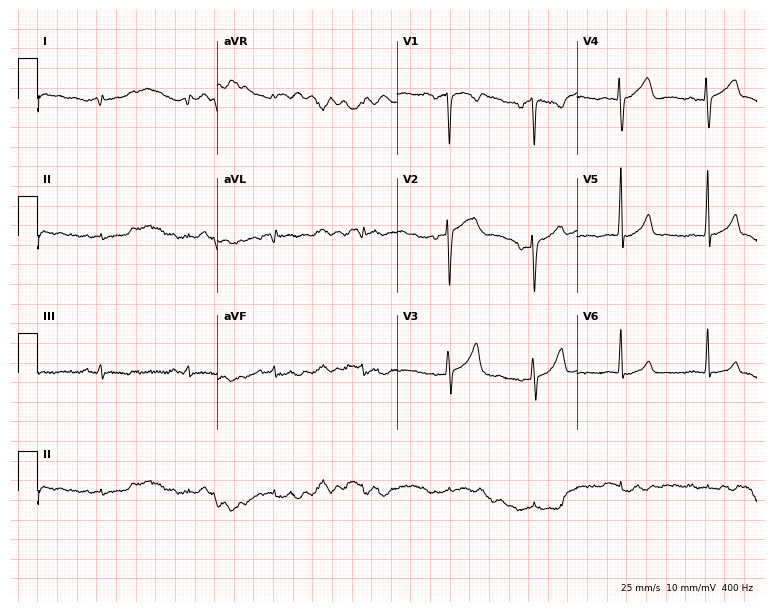
Resting 12-lead electrocardiogram. Patient: a woman, 32 years old. None of these six findings is recorded: first-degree AV block, right bundle branch block, left bundle branch block, sinus bradycardia, atrial fibrillation, sinus tachycardia. Only these six findings were labelled.